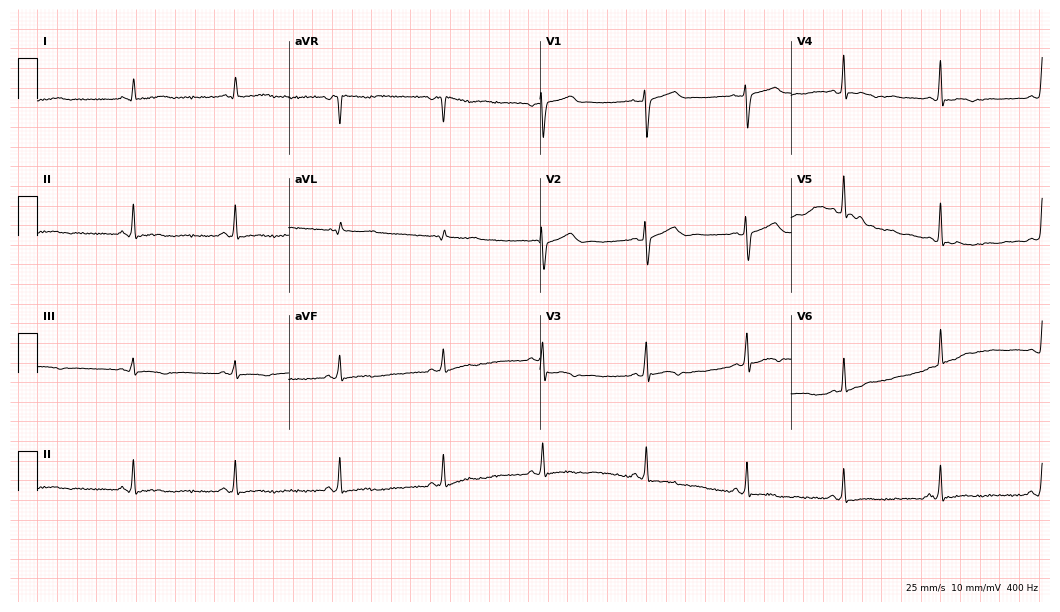
12-lead ECG (10.2-second recording at 400 Hz) from a 43-year-old female. Screened for six findings — first-degree AV block, right bundle branch block, left bundle branch block, sinus bradycardia, atrial fibrillation, sinus tachycardia — none is recorded. Findings outside these six are not listed.